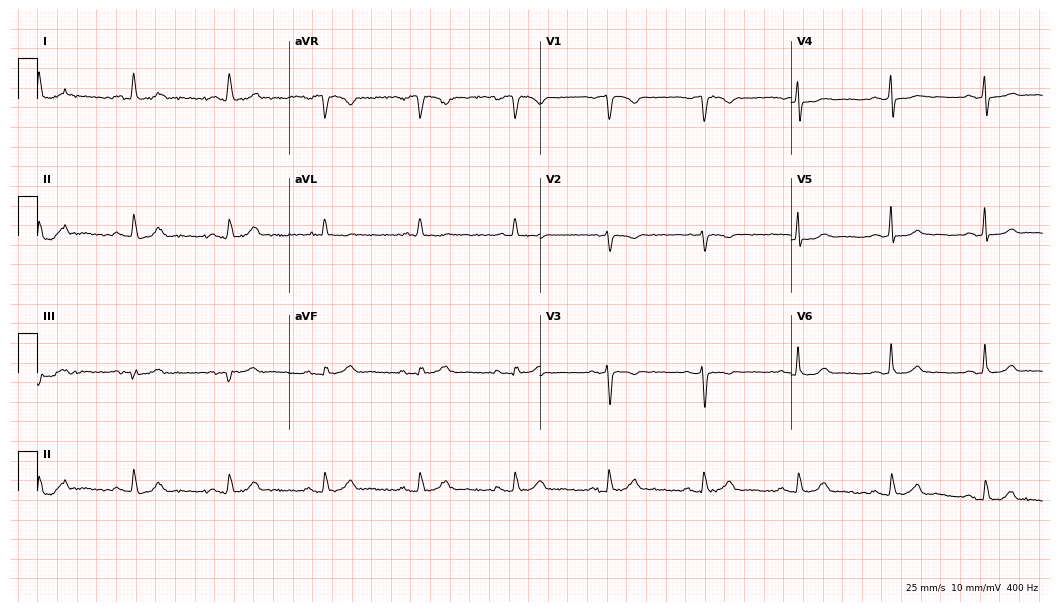
12-lead ECG from a 67-year-old female patient. Labelled as a normal ECG.